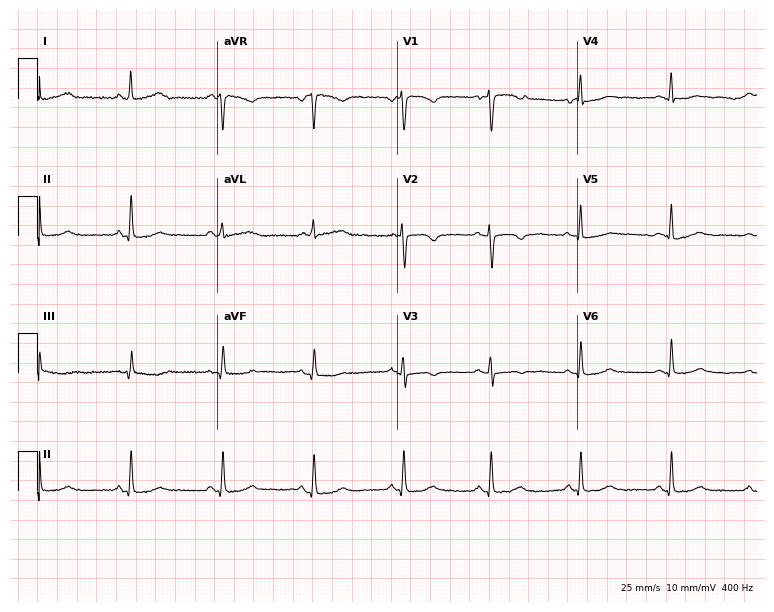
Electrocardiogram, a female patient, 54 years old. Of the six screened findings (first-degree AV block, right bundle branch block, left bundle branch block, sinus bradycardia, atrial fibrillation, sinus tachycardia), none is recorded.